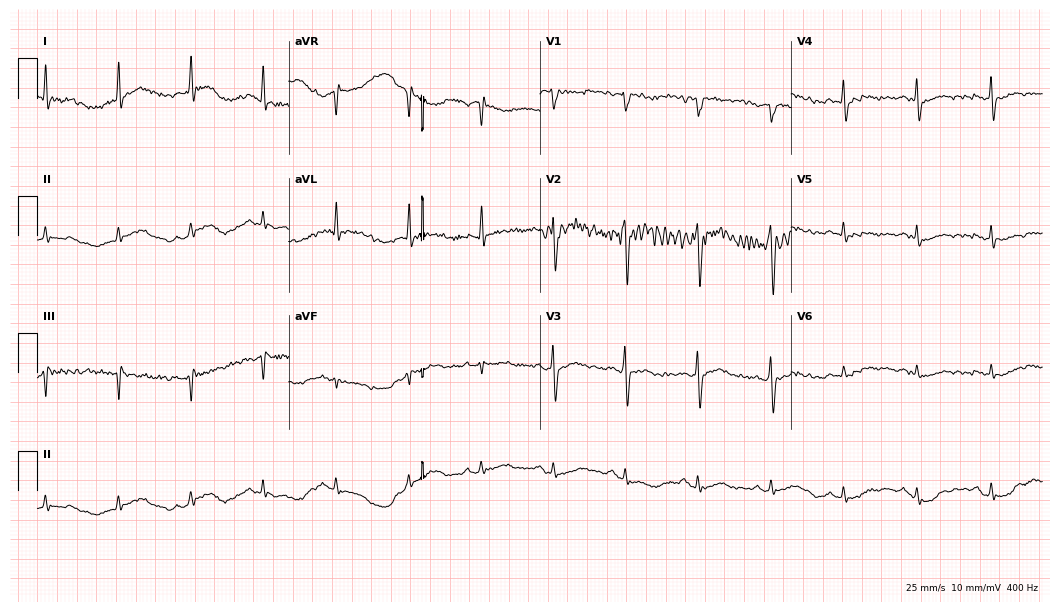
12-lead ECG from a 36-year-old male. No first-degree AV block, right bundle branch block, left bundle branch block, sinus bradycardia, atrial fibrillation or sinus tachycardia recorded for this tracing. Only these six findings were labelled.